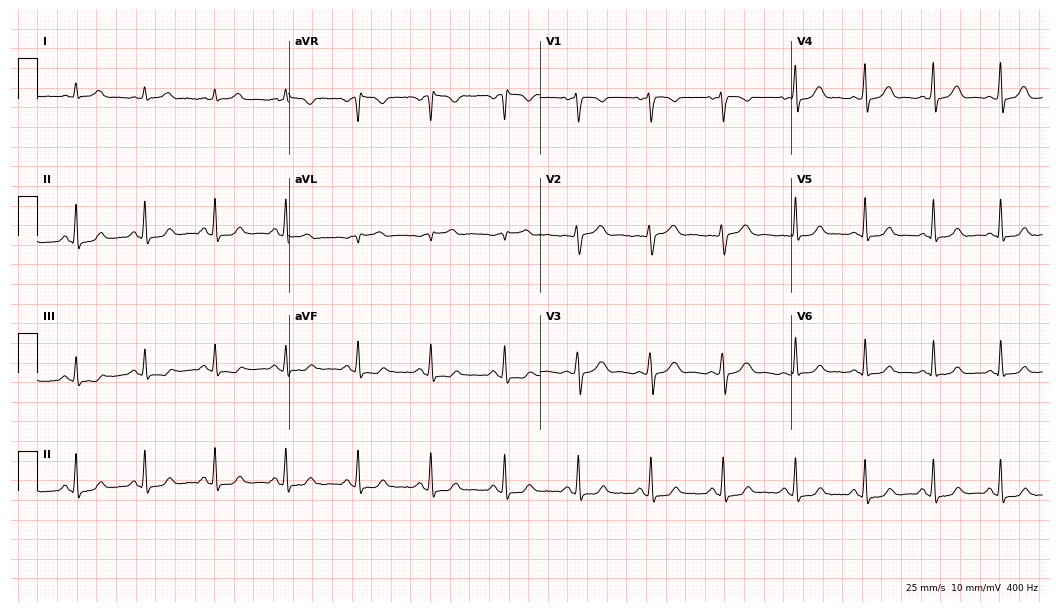
ECG (10.2-second recording at 400 Hz) — a 31-year-old male. Screened for six findings — first-degree AV block, right bundle branch block, left bundle branch block, sinus bradycardia, atrial fibrillation, sinus tachycardia — none is recorded. Findings outside these six are not listed.